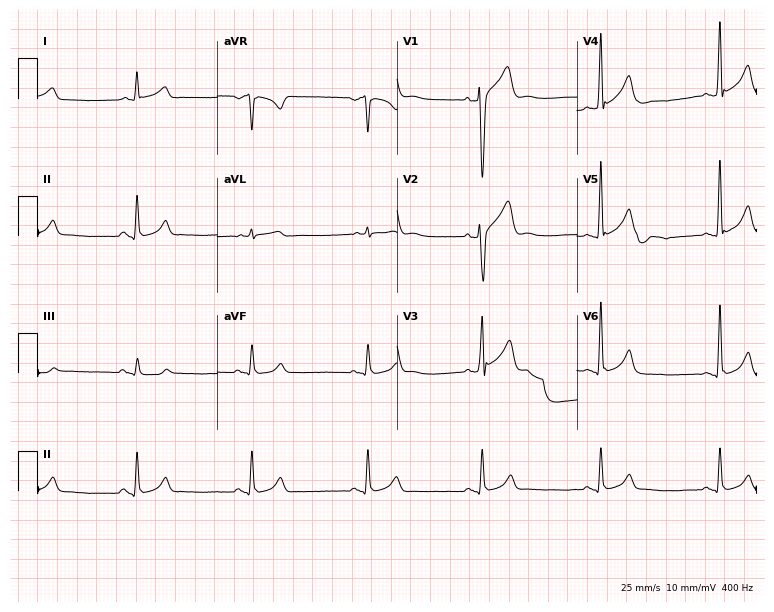
ECG — a 34-year-old man. Findings include sinus bradycardia (a sinus rate of 50 beats per minute or less).